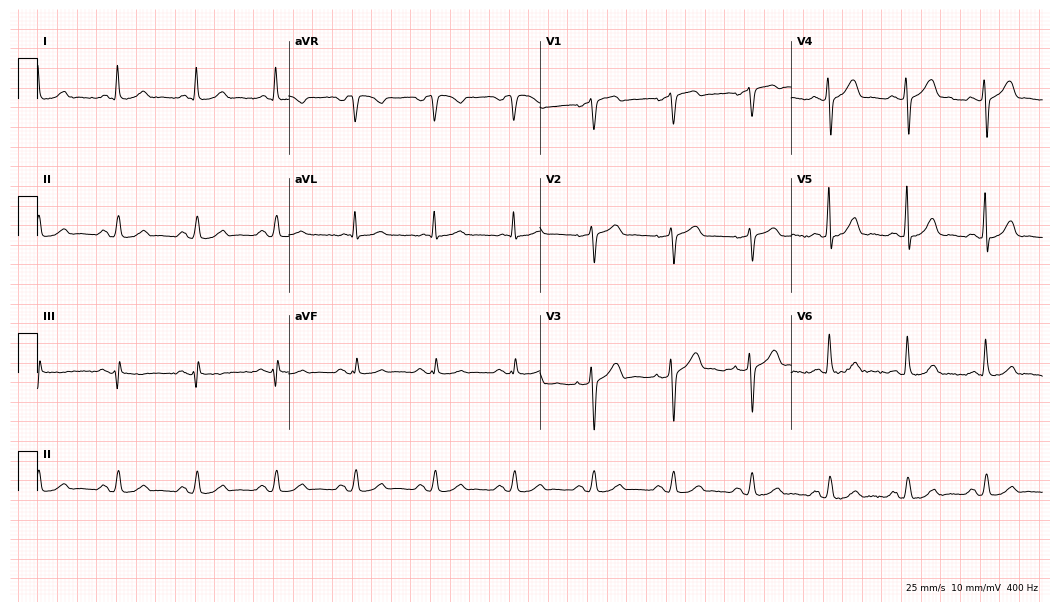
12-lead ECG (10.2-second recording at 400 Hz) from a male, 81 years old. Screened for six findings — first-degree AV block, right bundle branch block, left bundle branch block, sinus bradycardia, atrial fibrillation, sinus tachycardia — none is recorded.